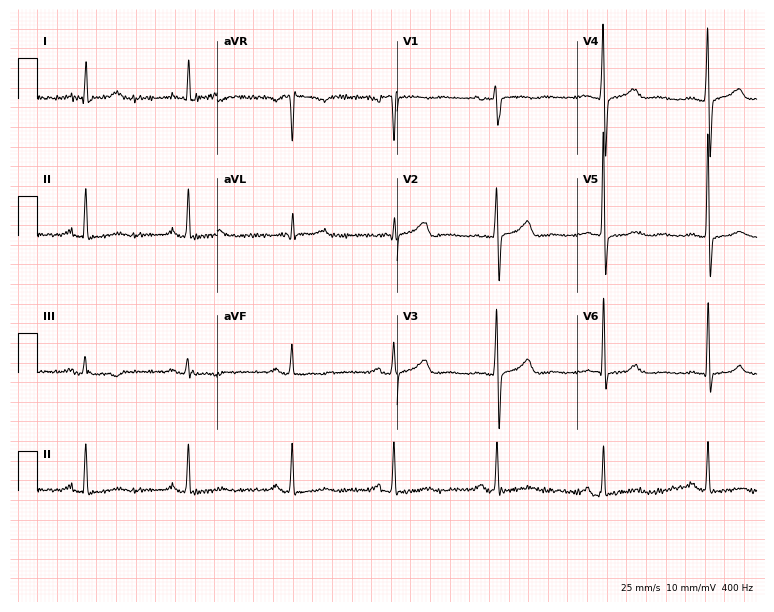
Standard 12-lead ECG recorded from a female patient, 59 years old. None of these six findings is recorded: first-degree AV block, right bundle branch block, left bundle branch block, sinus bradycardia, atrial fibrillation, sinus tachycardia.